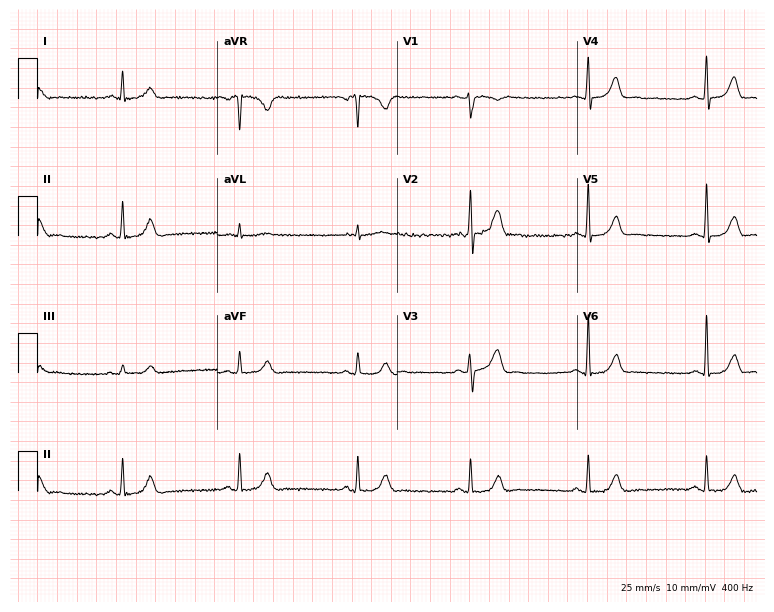
ECG — a male, 34 years old. Labelled as a normal ECG.